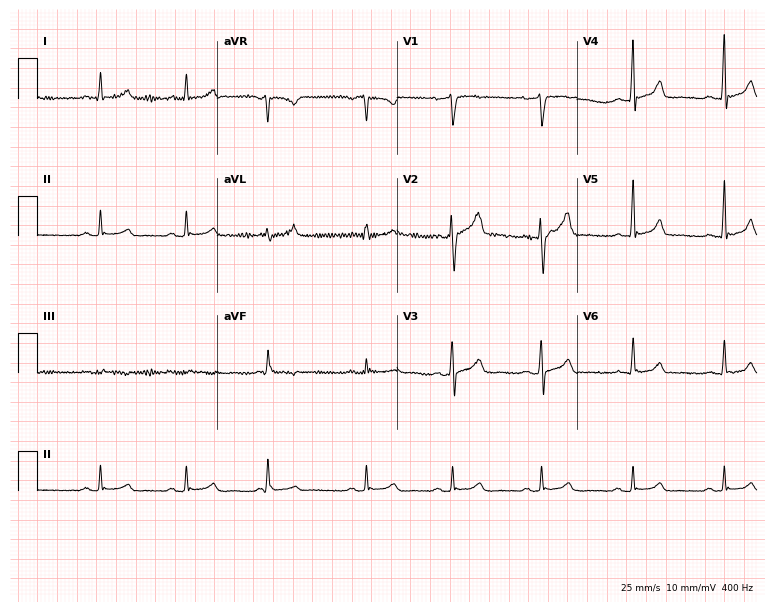
Electrocardiogram, a male patient, 44 years old. Overall reading on record: normal ECG.